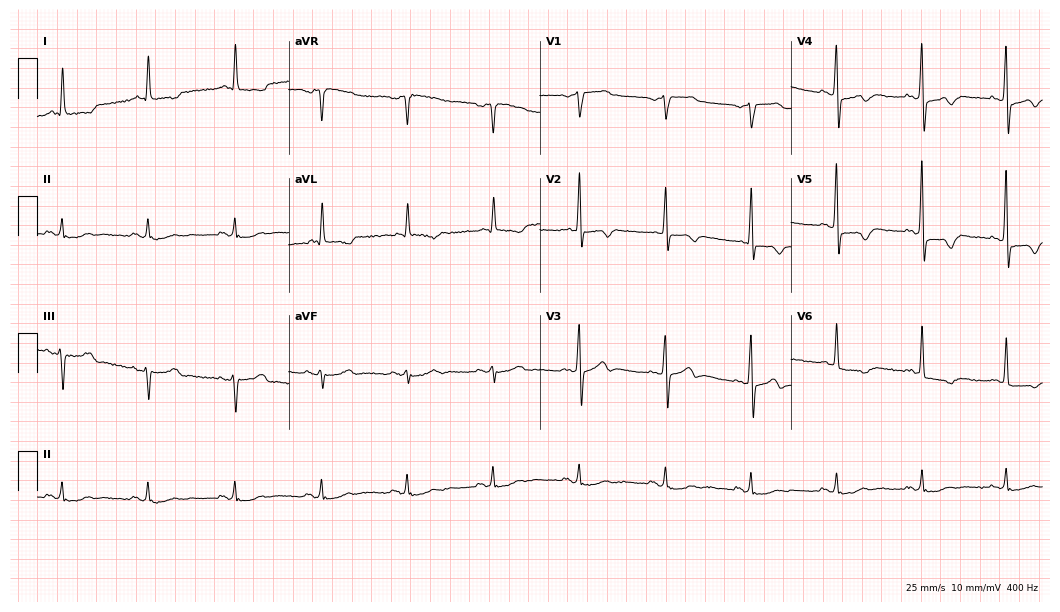
ECG (10.2-second recording at 400 Hz) — a male, 72 years old. Screened for six findings — first-degree AV block, right bundle branch block (RBBB), left bundle branch block (LBBB), sinus bradycardia, atrial fibrillation (AF), sinus tachycardia — none is recorded. Findings outside these six are not listed.